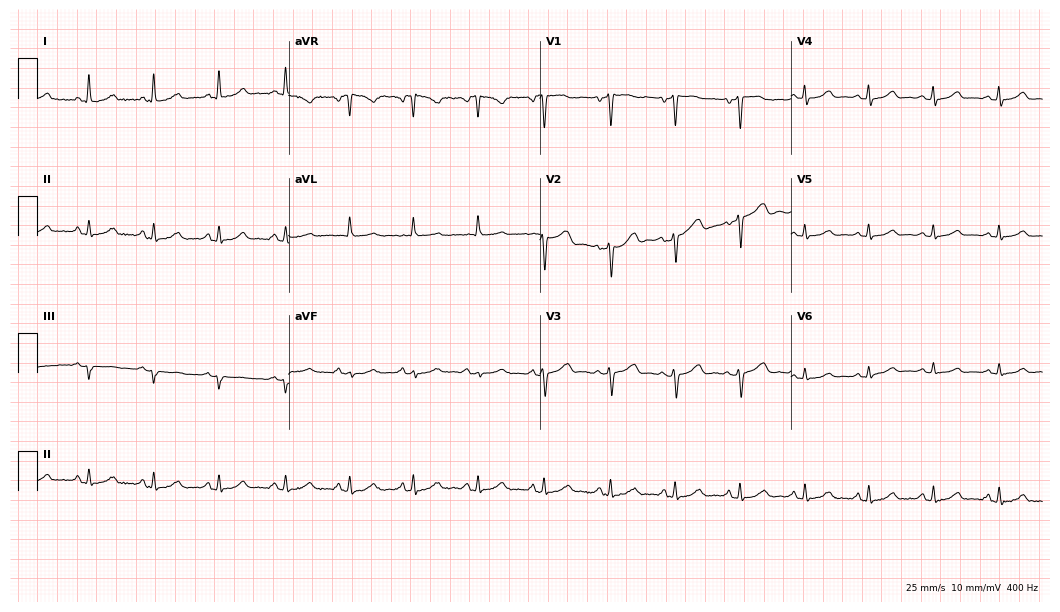
12-lead ECG from a female, 47 years old (10.2-second recording at 400 Hz). Recorded interpretation: within normal limits.